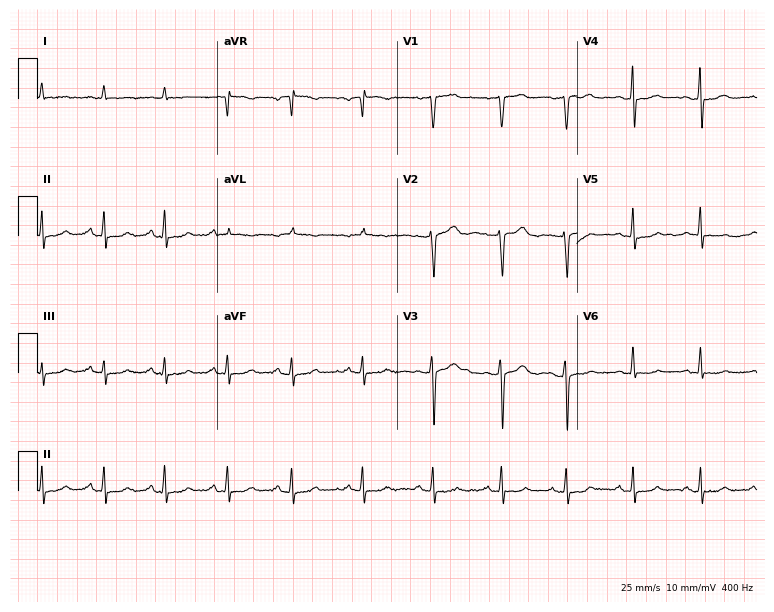
12-lead ECG (7.3-second recording at 400 Hz) from a 44-year-old female. Screened for six findings — first-degree AV block, right bundle branch block, left bundle branch block, sinus bradycardia, atrial fibrillation, sinus tachycardia — none is recorded. Only these six findings were labelled.